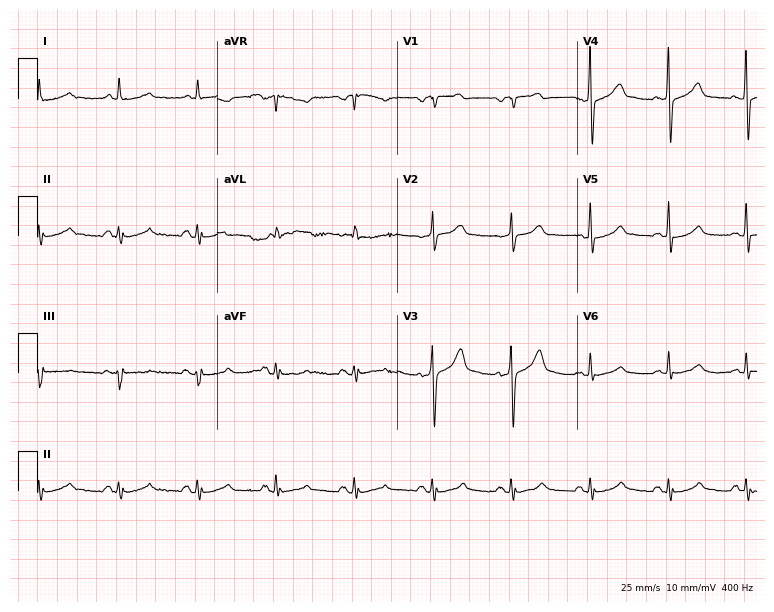
12-lead ECG from a 66-year-old male. Recorded interpretation: within normal limits.